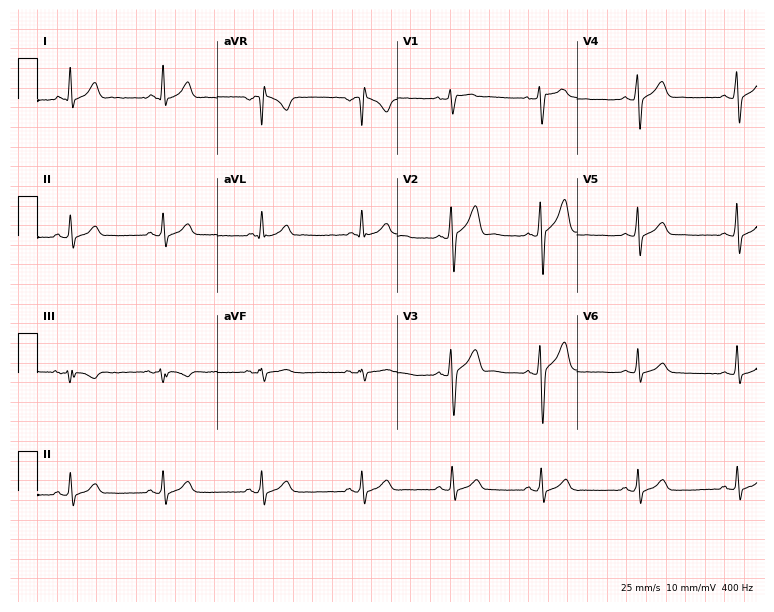
ECG — a 37-year-old man. Screened for six findings — first-degree AV block, right bundle branch block (RBBB), left bundle branch block (LBBB), sinus bradycardia, atrial fibrillation (AF), sinus tachycardia — none is recorded. Other findings, if any, are not listed.